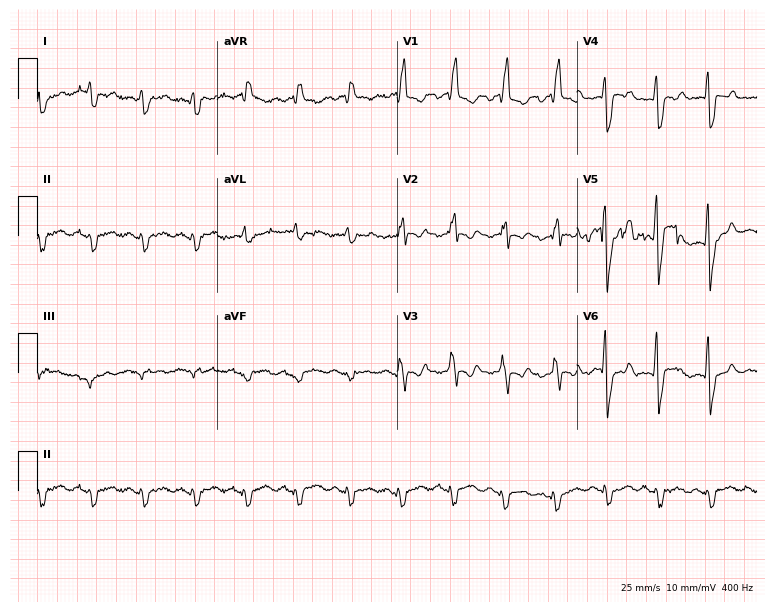
12-lead ECG (7.3-second recording at 400 Hz) from a male, 83 years old. Findings include right bundle branch block, sinus tachycardia (a sinus rate of 100 beats per minute or more).